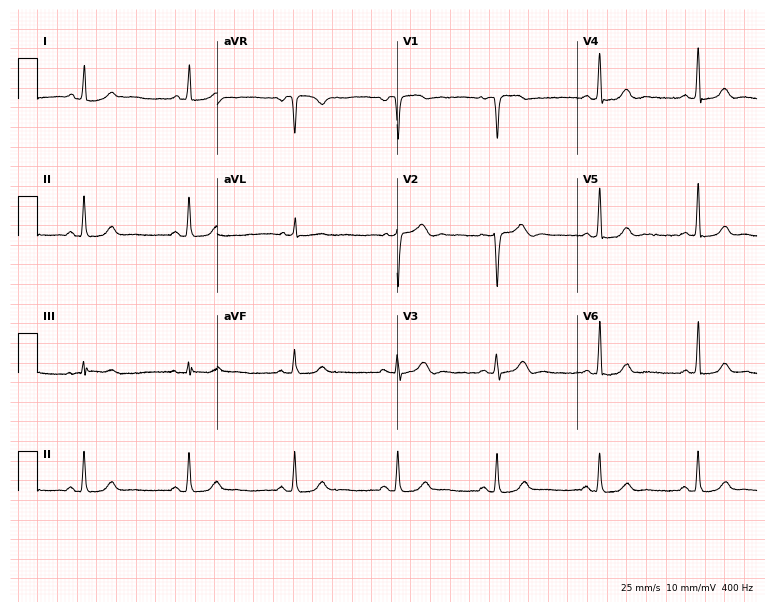
Resting 12-lead electrocardiogram. Patient: a 48-year-old female. None of these six findings is recorded: first-degree AV block, right bundle branch block, left bundle branch block, sinus bradycardia, atrial fibrillation, sinus tachycardia. Findings outside these six are not listed.